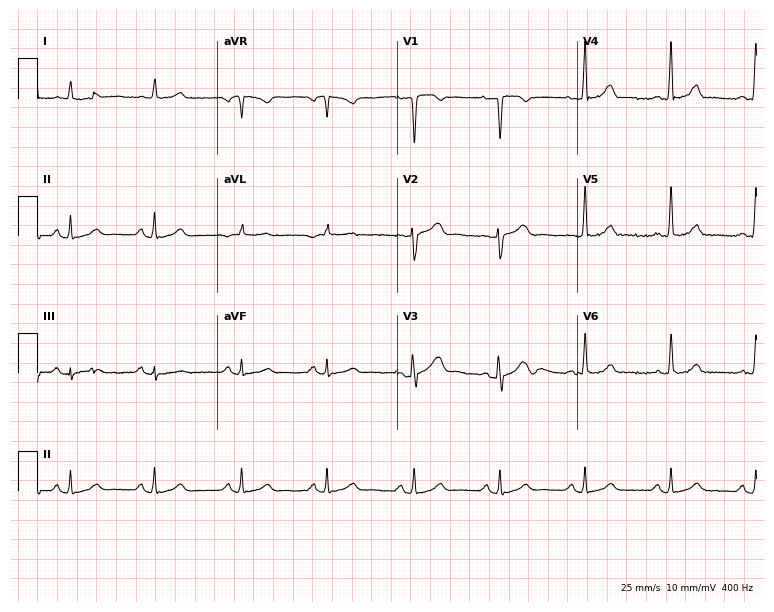
12-lead ECG (7.3-second recording at 400 Hz) from a 47-year-old male patient. Labelled as a normal ECG.